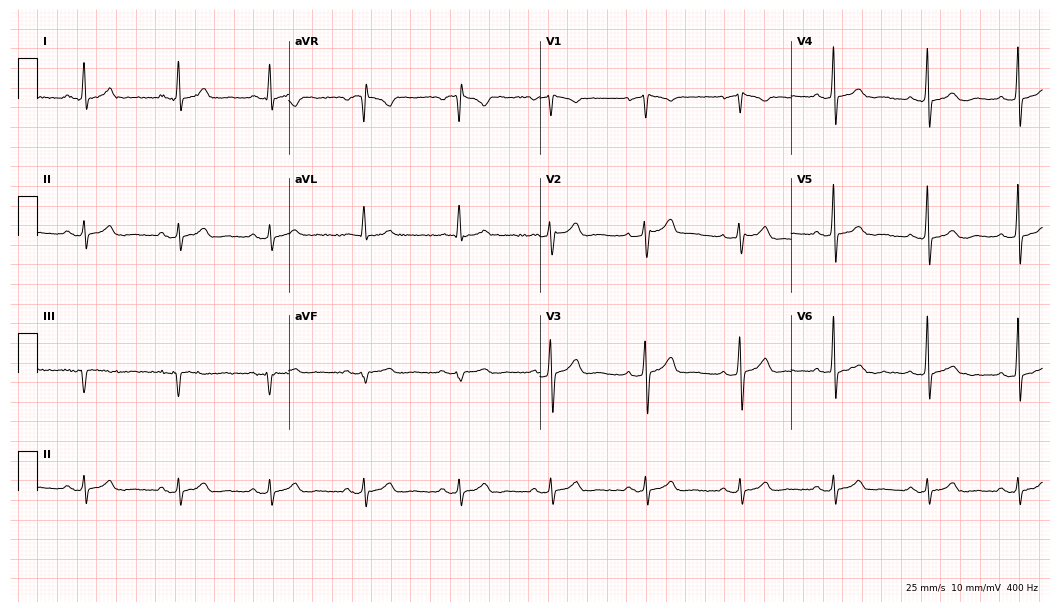
Standard 12-lead ECG recorded from a male, 55 years old (10.2-second recording at 400 Hz). None of these six findings is recorded: first-degree AV block, right bundle branch block, left bundle branch block, sinus bradycardia, atrial fibrillation, sinus tachycardia.